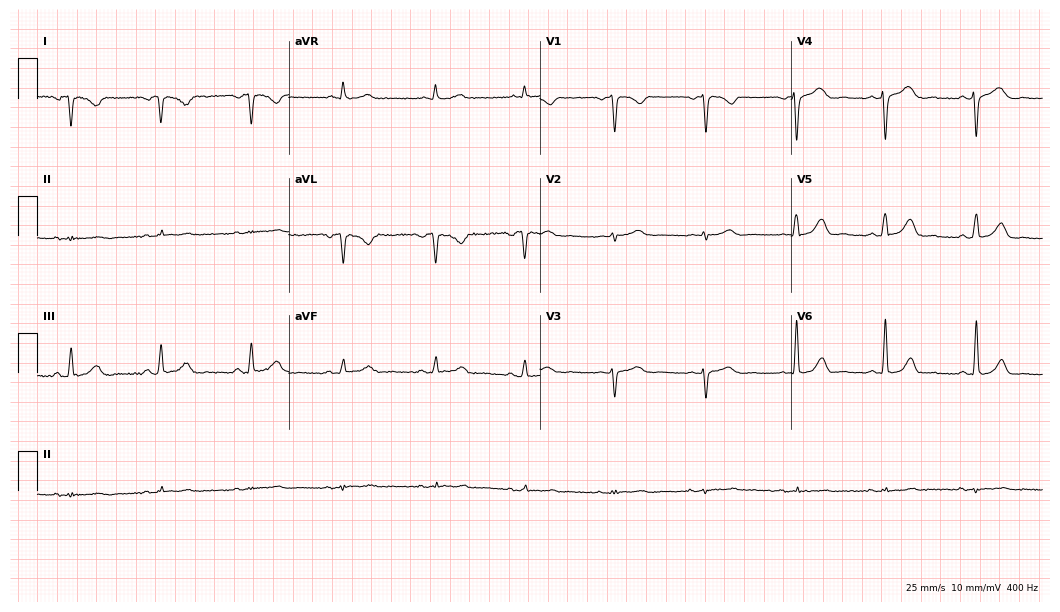
ECG — a 46-year-old female. Screened for six findings — first-degree AV block, right bundle branch block (RBBB), left bundle branch block (LBBB), sinus bradycardia, atrial fibrillation (AF), sinus tachycardia — none is recorded. Only these six findings were labelled.